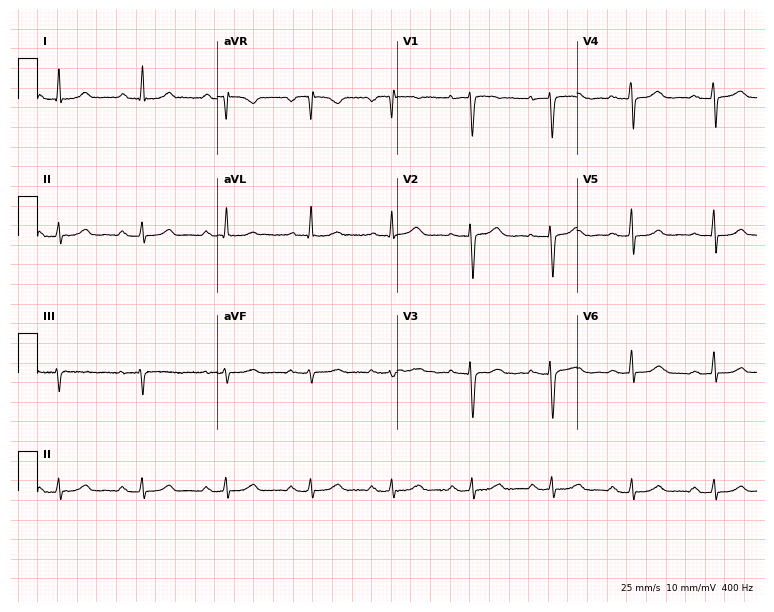
12-lead ECG from a 51-year-old woman. Labelled as a normal ECG.